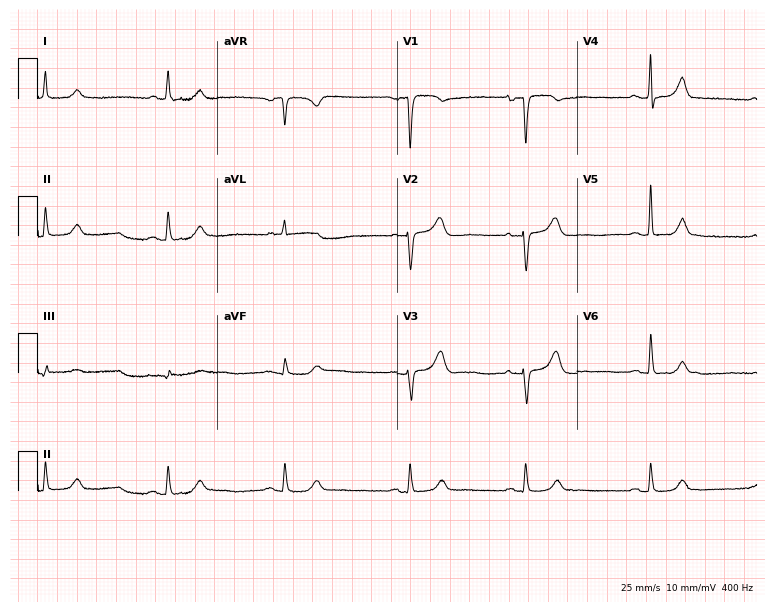
Resting 12-lead electrocardiogram. Patient: a female, 80 years old. None of these six findings is recorded: first-degree AV block, right bundle branch block, left bundle branch block, sinus bradycardia, atrial fibrillation, sinus tachycardia. Only these six findings were labelled.